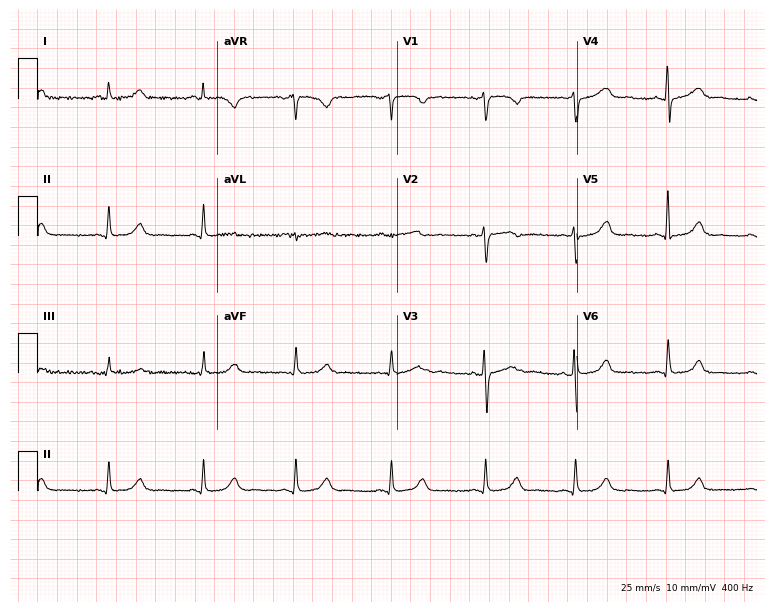
Resting 12-lead electrocardiogram (7.3-second recording at 400 Hz). Patient: a 60-year-old female. Read as a normal ECG.